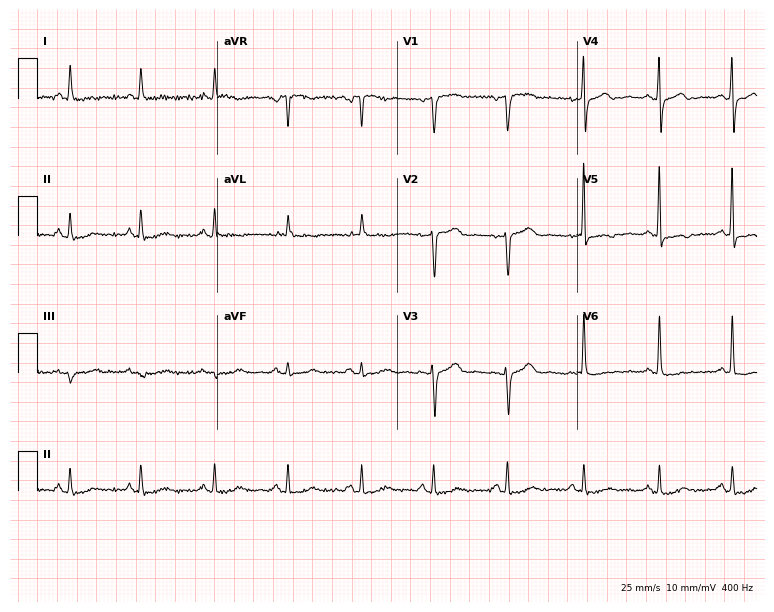
Electrocardiogram (7.3-second recording at 400 Hz), an 80-year-old woman. Of the six screened findings (first-degree AV block, right bundle branch block, left bundle branch block, sinus bradycardia, atrial fibrillation, sinus tachycardia), none is recorded. Other findings, if any, are not listed.